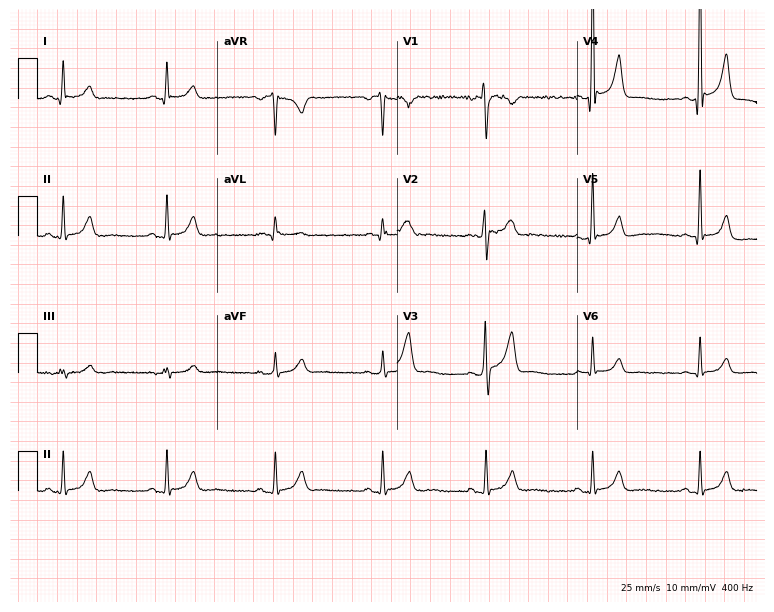
ECG (7.3-second recording at 400 Hz) — a male patient, 32 years old. Screened for six findings — first-degree AV block, right bundle branch block, left bundle branch block, sinus bradycardia, atrial fibrillation, sinus tachycardia — none is recorded. Findings outside these six are not listed.